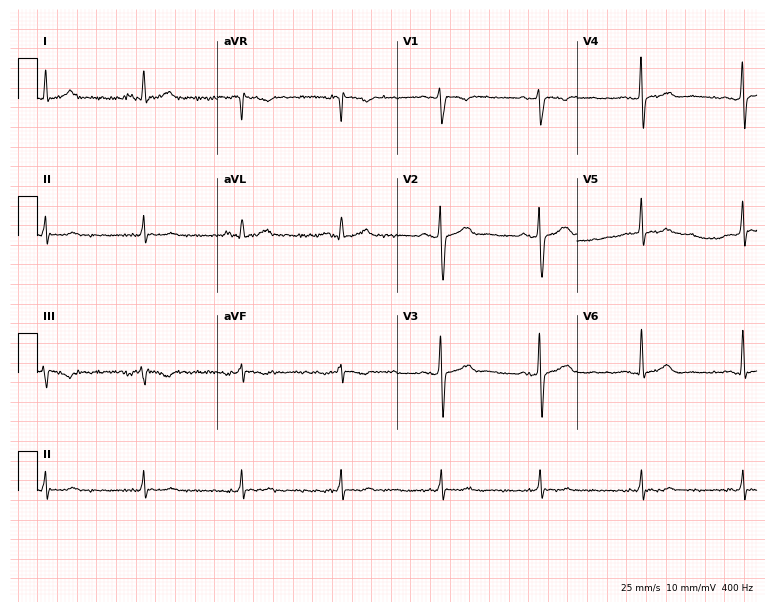
Standard 12-lead ECG recorded from a male patient, 55 years old. Read as a normal ECG.